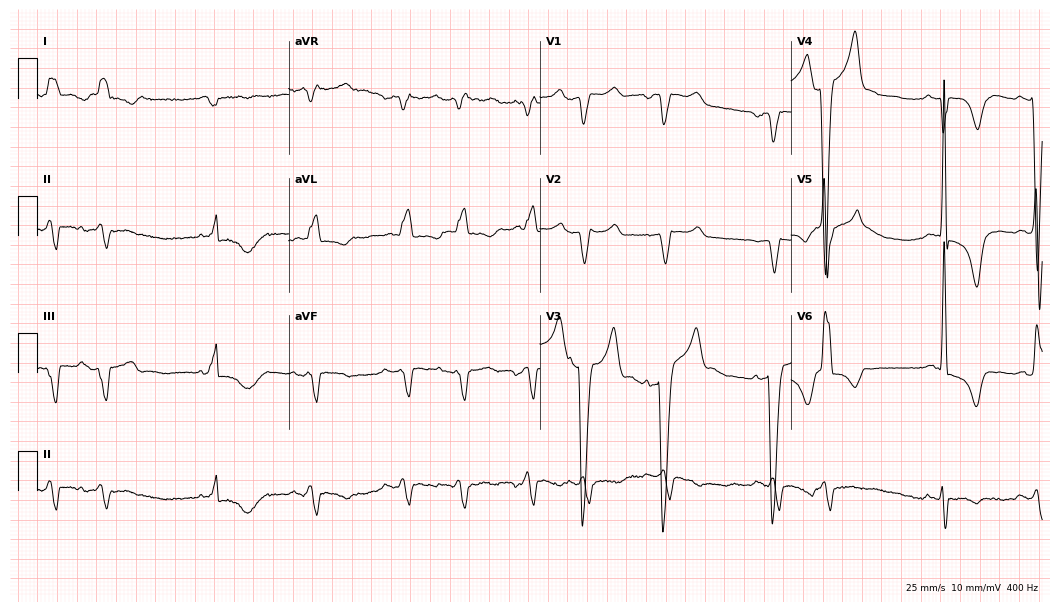
Standard 12-lead ECG recorded from a female, 85 years old. The tracing shows left bundle branch block (LBBB), atrial fibrillation (AF).